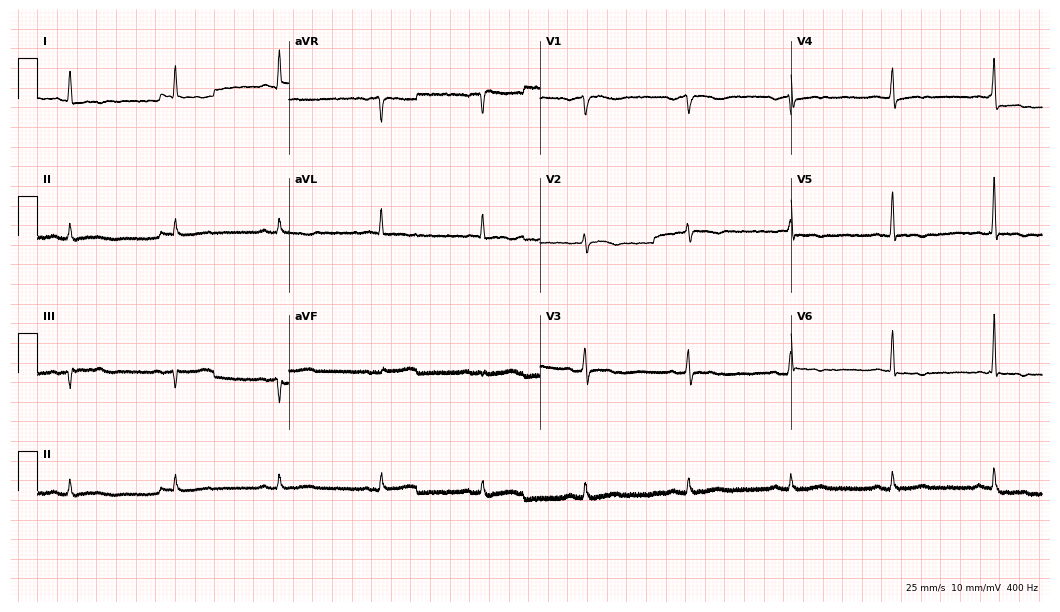
Standard 12-lead ECG recorded from an 84-year-old woman. None of these six findings is recorded: first-degree AV block, right bundle branch block (RBBB), left bundle branch block (LBBB), sinus bradycardia, atrial fibrillation (AF), sinus tachycardia.